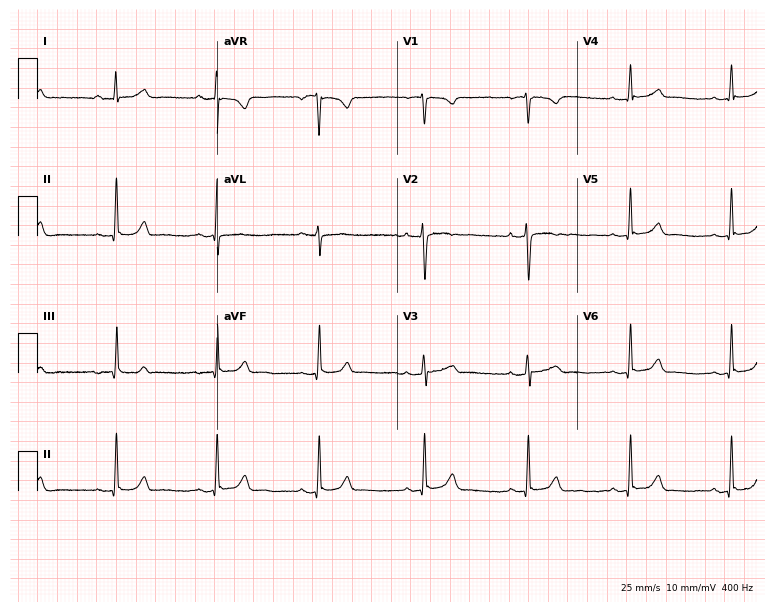
12-lead ECG (7.3-second recording at 400 Hz) from a 37-year-old female. Labelled as a normal ECG.